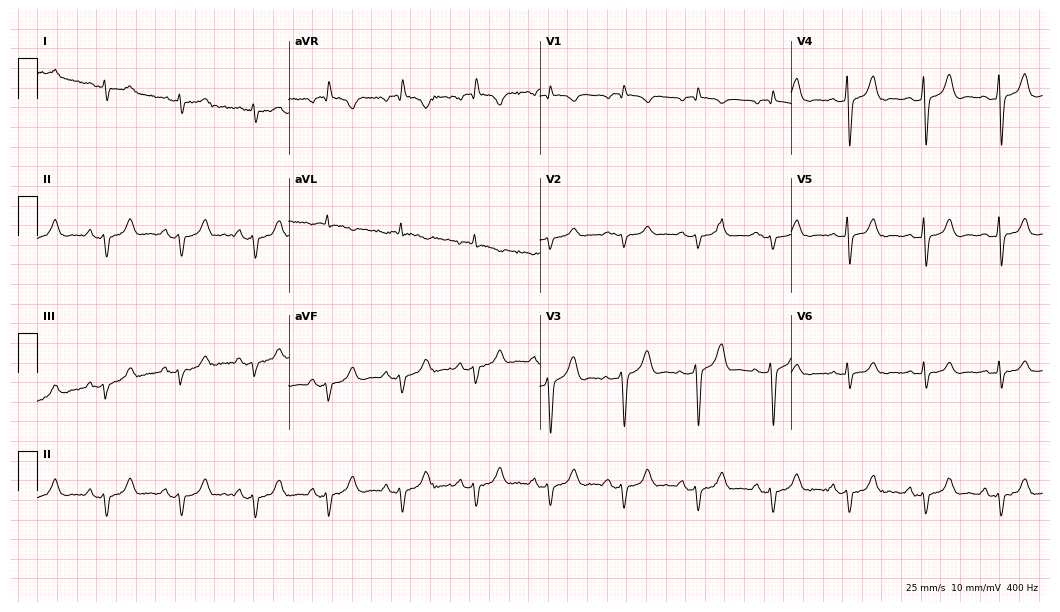
12-lead ECG (10.2-second recording at 400 Hz) from a man, 73 years old. Screened for six findings — first-degree AV block, right bundle branch block (RBBB), left bundle branch block (LBBB), sinus bradycardia, atrial fibrillation (AF), sinus tachycardia — none is recorded. Findings outside these six are not listed.